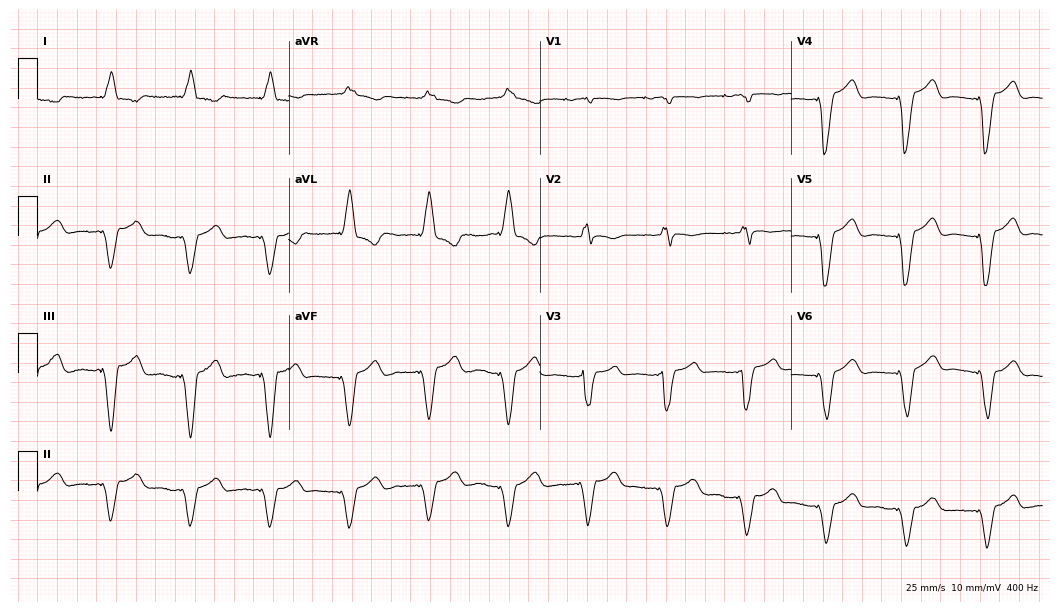
ECG — a 38-year-old female. Screened for six findings — first-degree AV block, right bundle branch block (RBBB), left bundle branch block (LBBB), sinus bradycardia, atrial fibrillation (AF), sinus tachycardia — none is recorded. Only these six findings were labelled.